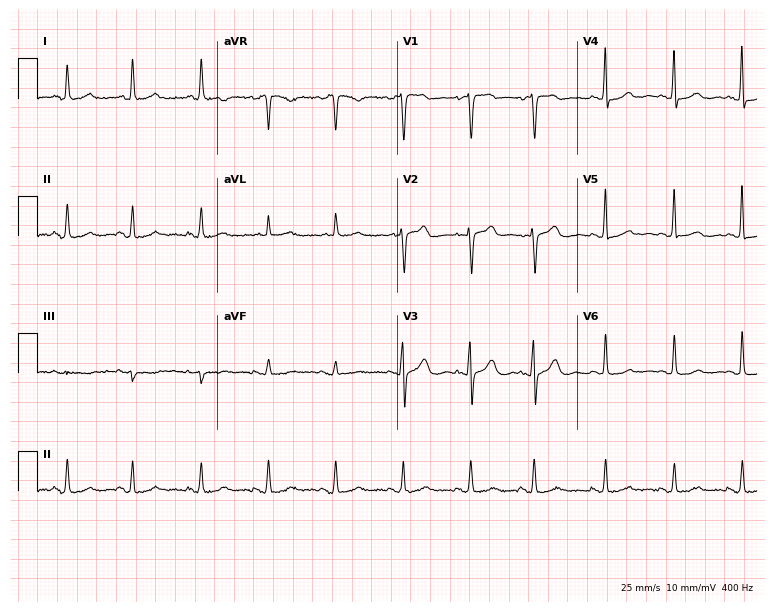
Resting 12-lead electrocardiogram. Patient: a female, 83 years old. None of these six findings is recorded: first-degree AV block, right bundle branch block (RBBB), left bundle branch block (LBBB), sinus bradycardia, atrial fibrillation (AF), sinus tachycardia.